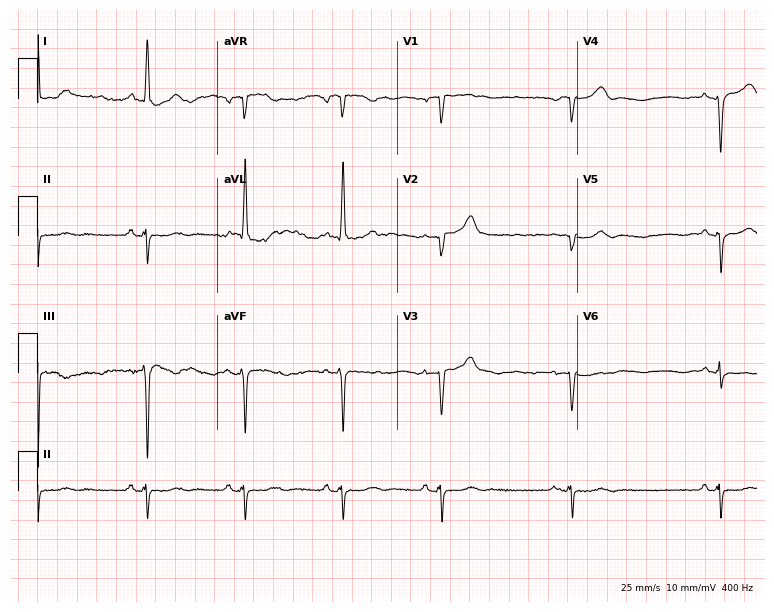
12-lead ECG (7.3-second recording at 400 Hz) from a 79-year-old woman. Screened for six findings — first-degree AV block, right bundle branch block, left bundle branch block, sinus bradycardia, atrial fibrillation, sinus tachycardia — none is recorded.